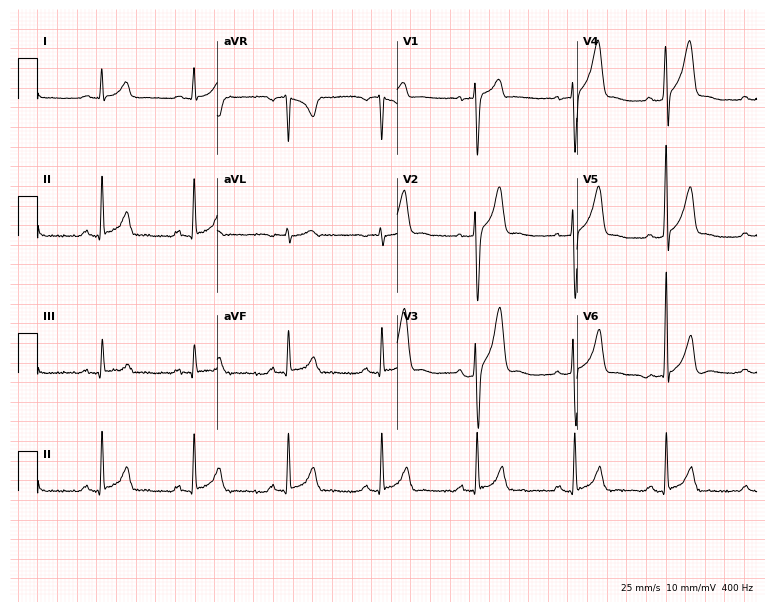
Resting 12-lead electrocardiogram (7.3-second recording at 400 Hz). Patient: a man, 29 years old. None of these six findings is recorded: first-degree AV block, right bundle branch block, left bundle branch block, sinus bradycardia, atrial fibrillation, sinus tachycardia. Findings outside these six are not listed.